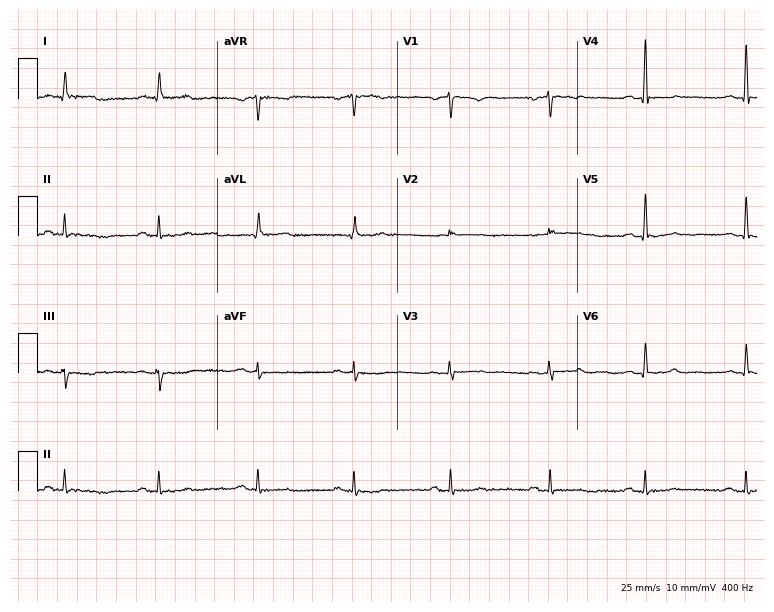
12-lead ECG from a female patient, 42 years old. Screened for six findings — first-degree AV block, right bundle branch block, left bundle branch block, sinus bradycardia, atrial fibrillation, sinus tachycardia — none is recorded.